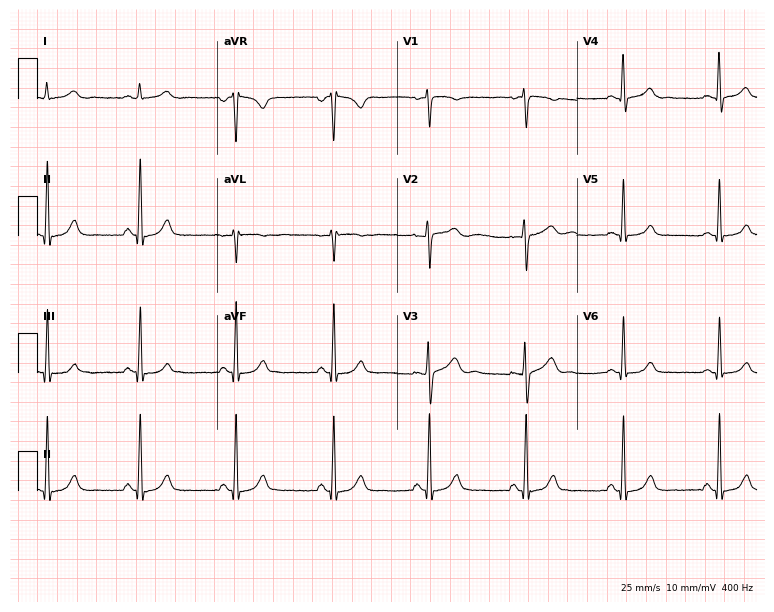
ECG — a female, 24 years old. Labelled as a normal ECG.